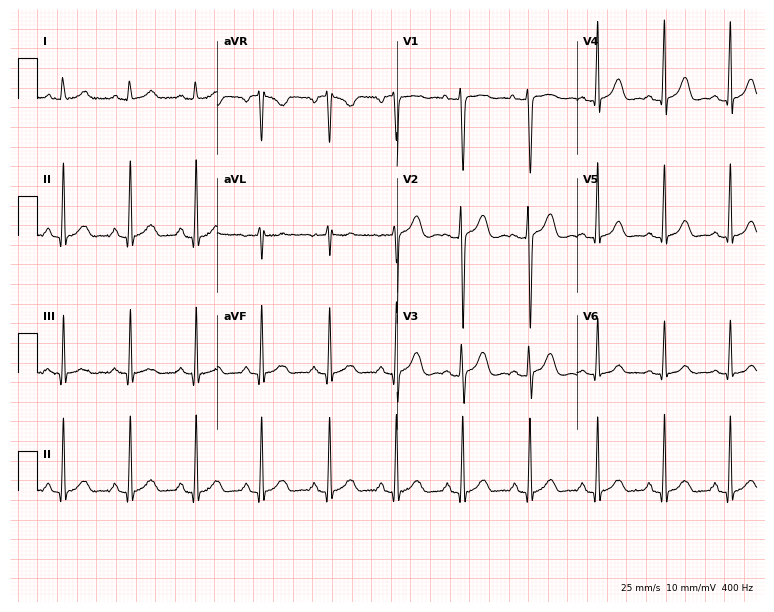
ECG (7.3-second recording at 400 Hz) — a 28-year-old female patient. Labelled as a normal ECG.